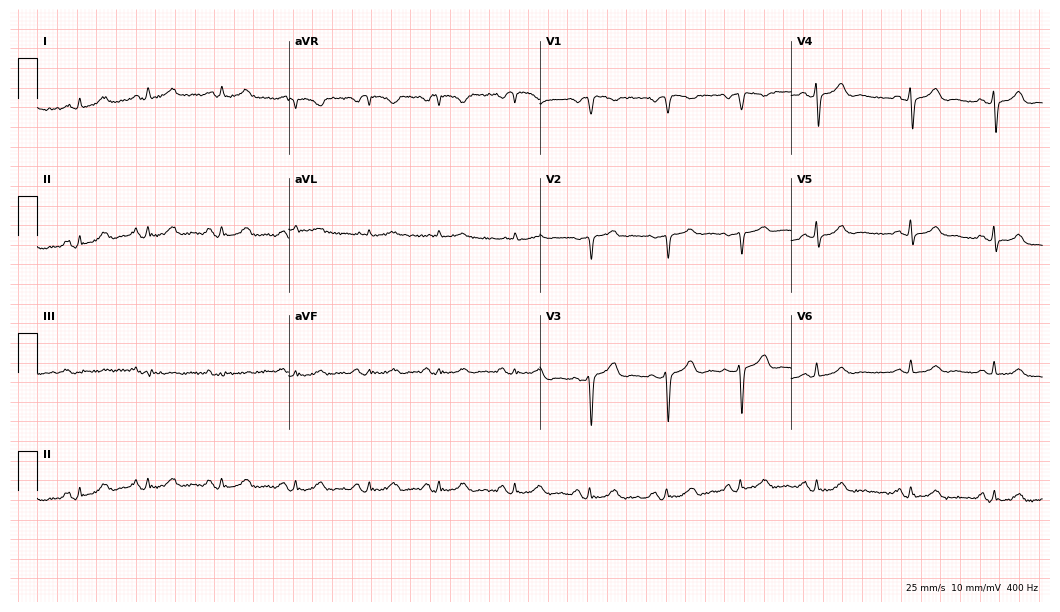
Electrocardiogram, a woman, 51 years old. Overall reading on record: normal ECG.